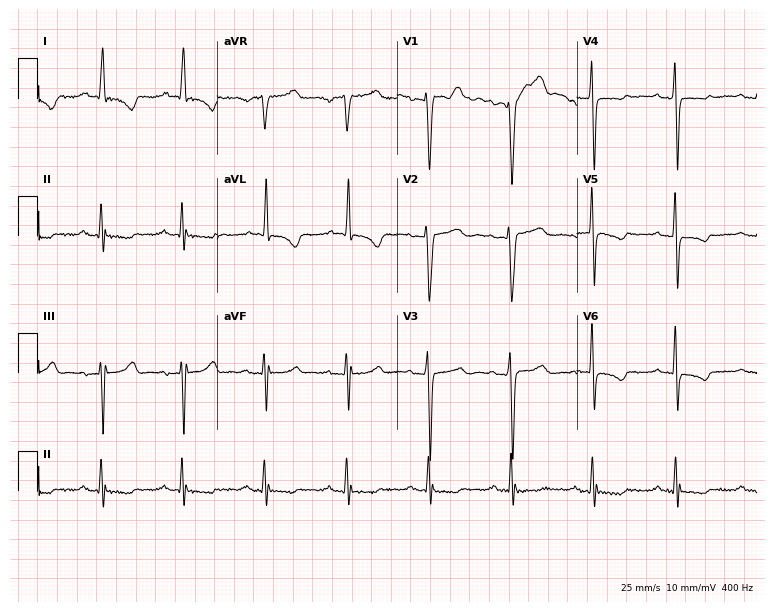
Electrocardiogram, a female, 65 years old. Of the six screened findings (first-degree AV block, right bundle branch block, left bundle branch block, sinus bradycardia, atrial fibrillation, sinus tachycardia), none is recorded.